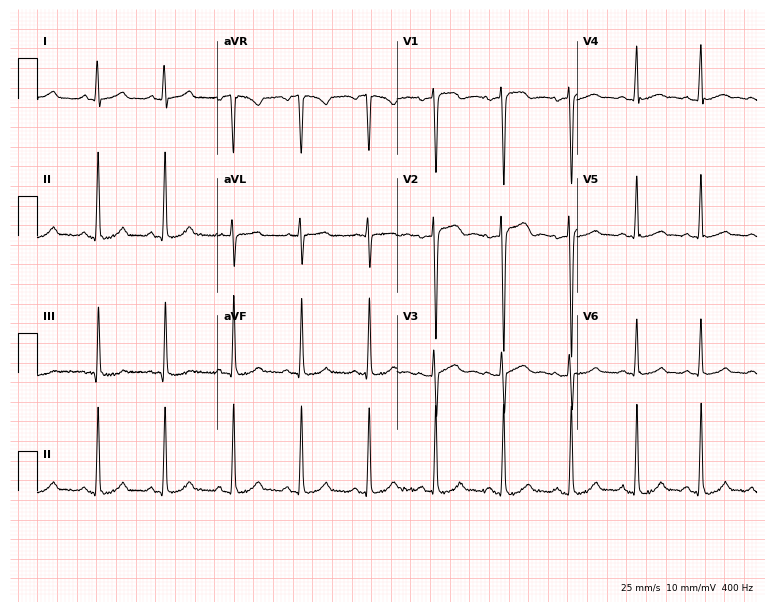
ECG — a female patient, 18 years old. Screened for six findings — first-degree AV block, right bundle branch block (RBBB), left bundle branch block (LBBB), sinus bradycardia, atrial fibrillation (AF), sinus tachycardia — none is recorded. Findings outside these six are not listed.